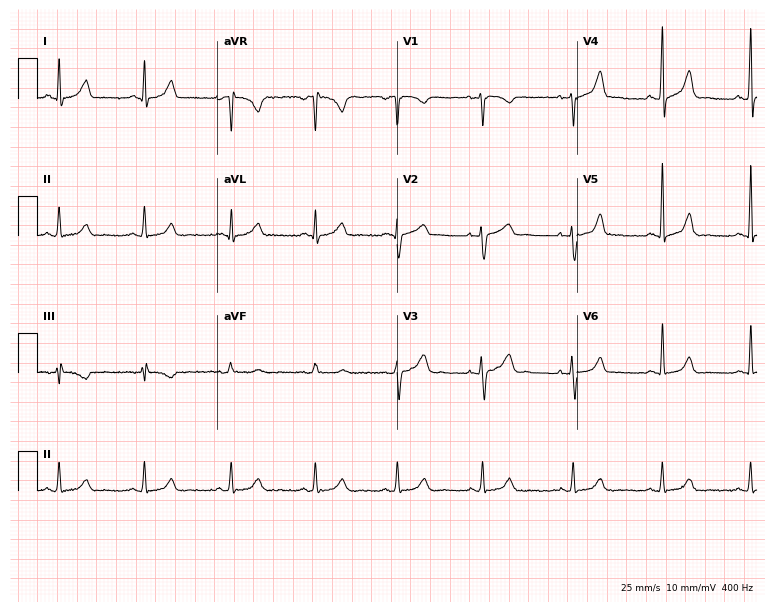
12-lead ECG from a 39-year-old woman. Recorded interpretation: within normal limits.